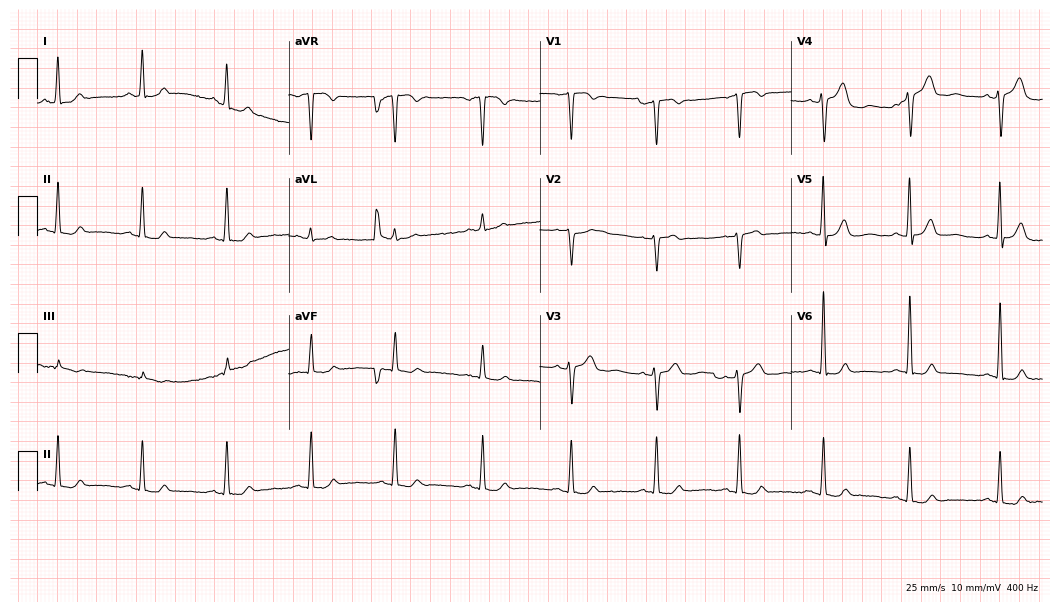
Resting 12-lead electrocardiogram (10.2-second recording at 400 Hz). Patient: a 51-year-old female. Read as a normal ECG.